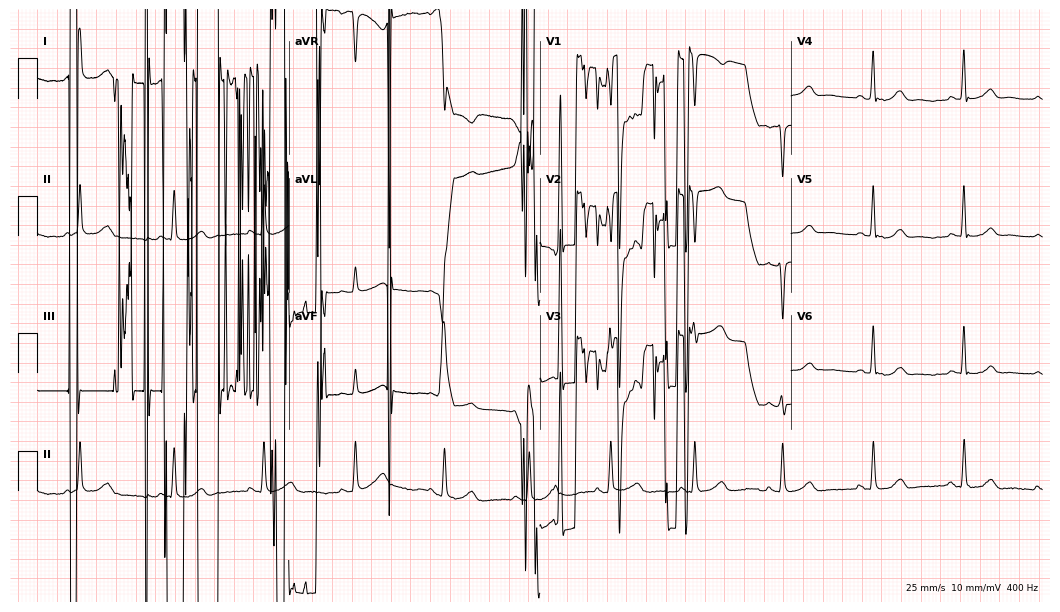
Electrocardiogram, a 50-year-old female. Of the six screened findings (first-degree AV block, right bundle branch block (RBBB), left bundle branch block (LBBB), sinus bradycardia, atrial fibrillation (AF), sinus tachycardia), none is recorded. Findings outside these six are not listed.